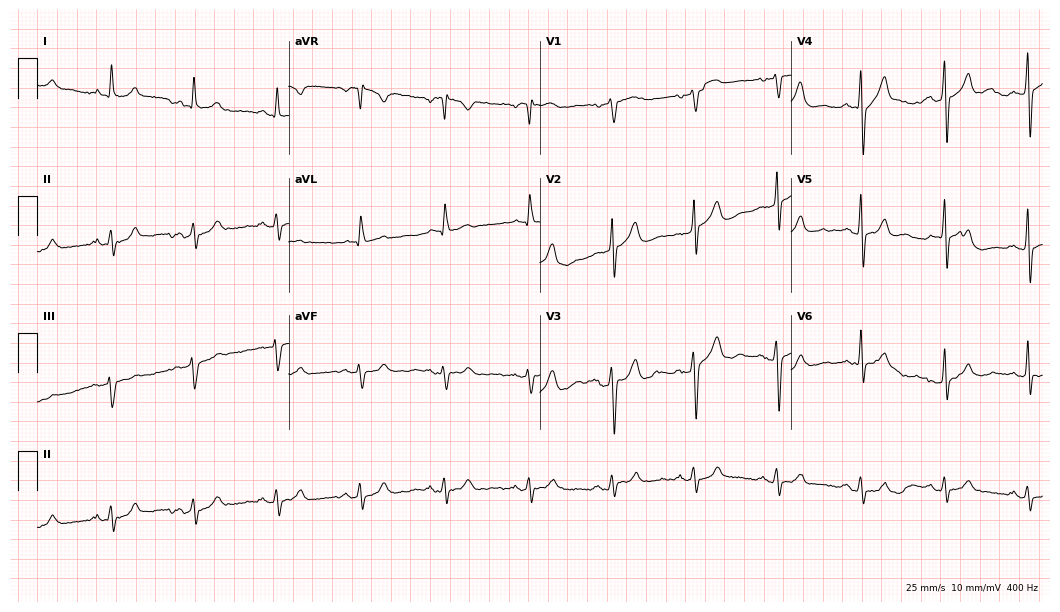
ECG — a man, 68 years old. Labelled as a normal ECG.